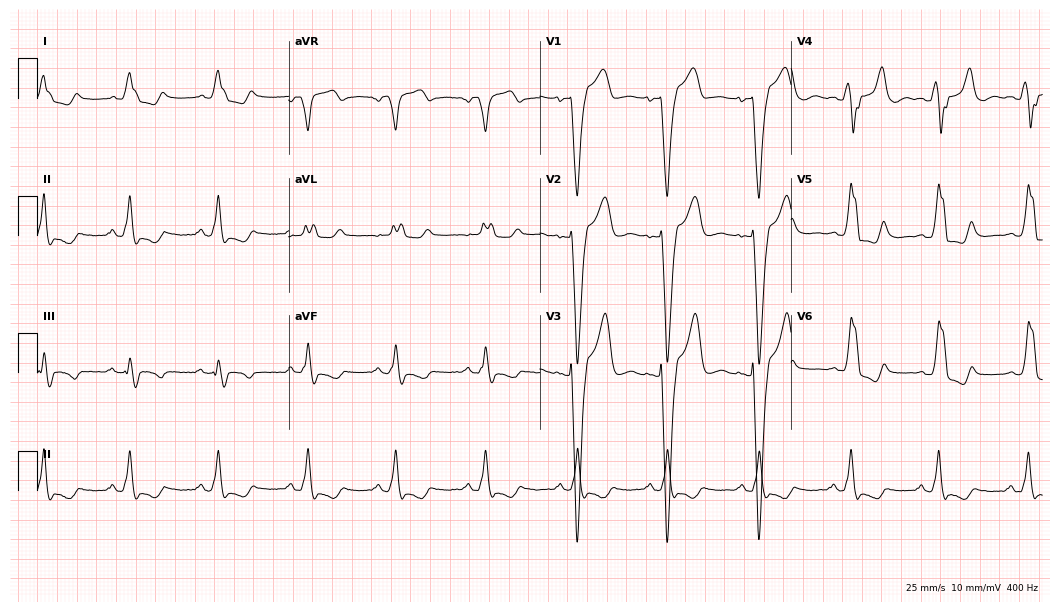
ECG (10.2-second recording at 400 Hz) — a male, 32 years old. Findings include left bundle branch block.